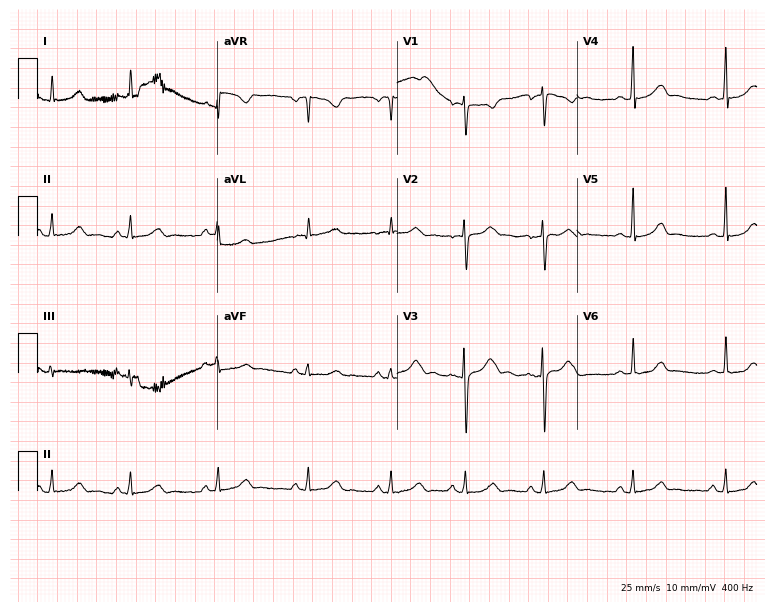
12-lead ECG from a female, 20 years old (7.3-second recording at 400 Hz). No first-degree AV block, right bundle branch block, left bundle branch block, sinus bradycardia, atrial fibrillation or sinus tachycardia recorded for this tracing. Findings outside these six are not listed.